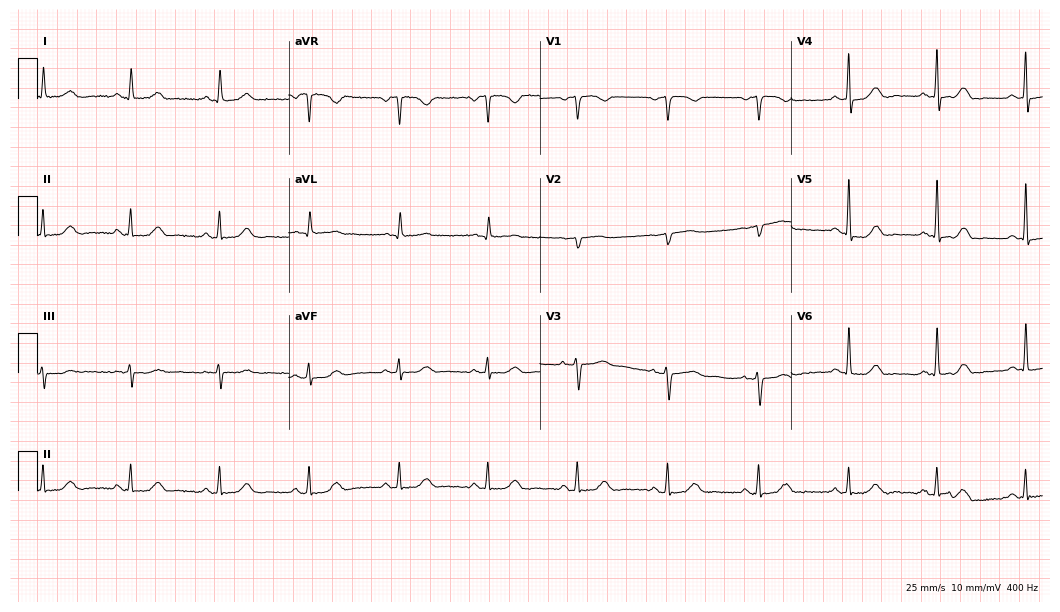
Resting 12-lead electrocardiogram. Patient: a 74-year-old female. Read as a normal ECG.